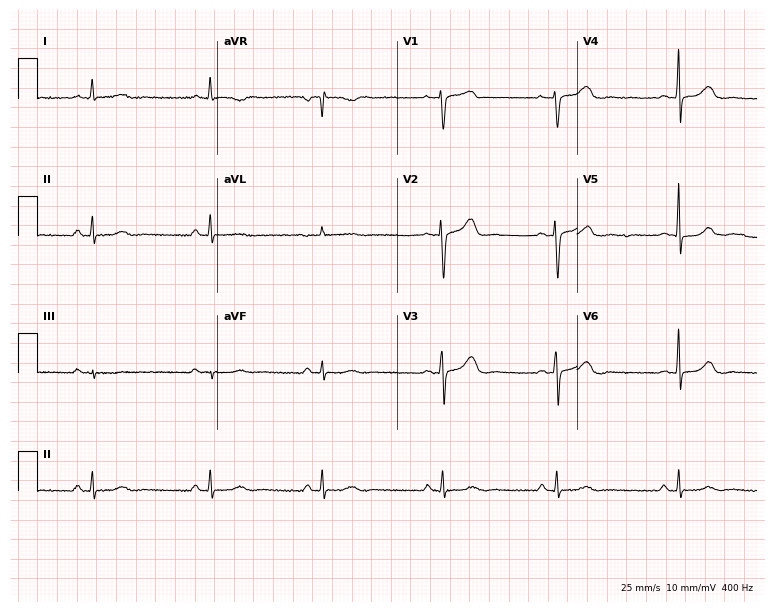
12-lead ECG from a female, 46 years old. Findings include sinus bradycardia (a sinus rate of 50 beats per minute or less).